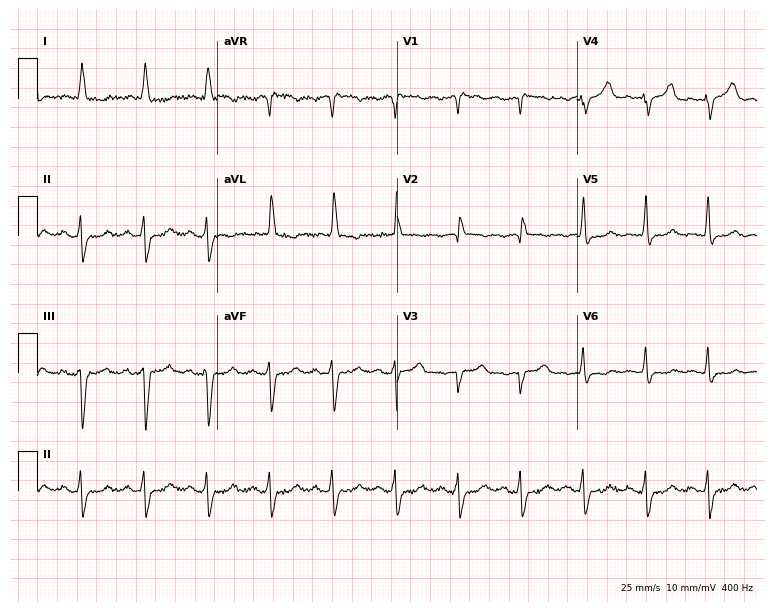
Resting 12-lead electrocardiogram. Patient: a woman, 72 years old. None of these six findings is recorded: first-degree AV block, right bundle branch block, left bundle branch block, sinus bradycardia, atrial fibrillation, sinus tachycardia. Findings outside these six are not listed.